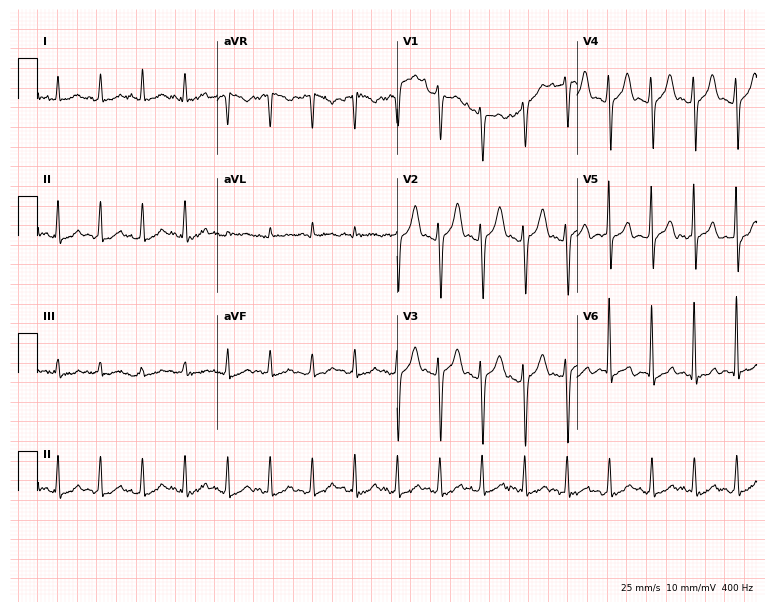
12-lead ECG from a 24-year-old male patient. Shows sinus tachycardia (a sinus rate of 100 beats per minute or more).